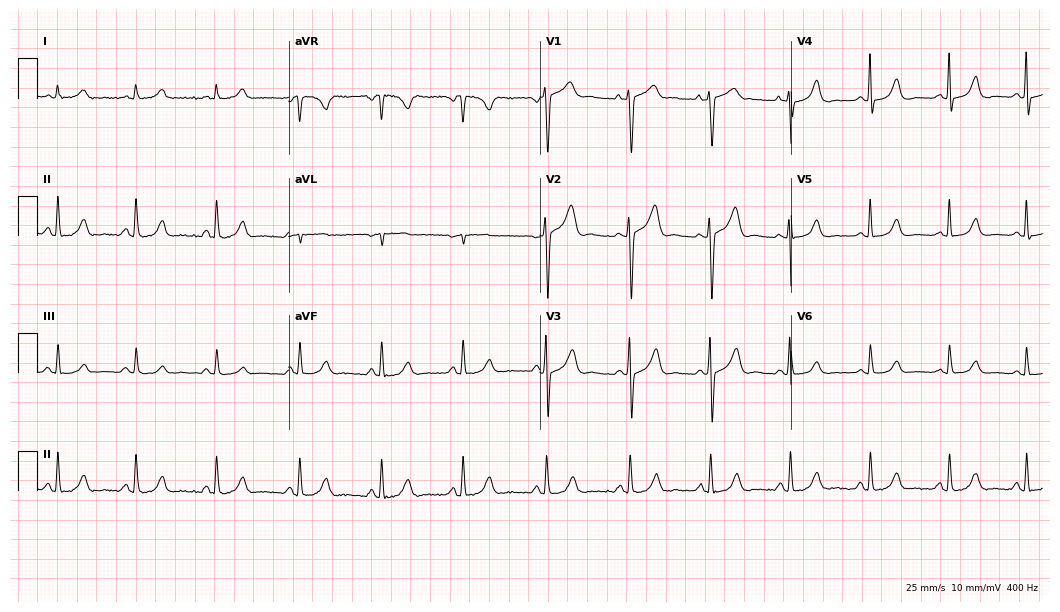
12-lead ECG from a female, 34 years old (10.2-second recording at 400 Hz). Recorded interpretation: within normal limits.